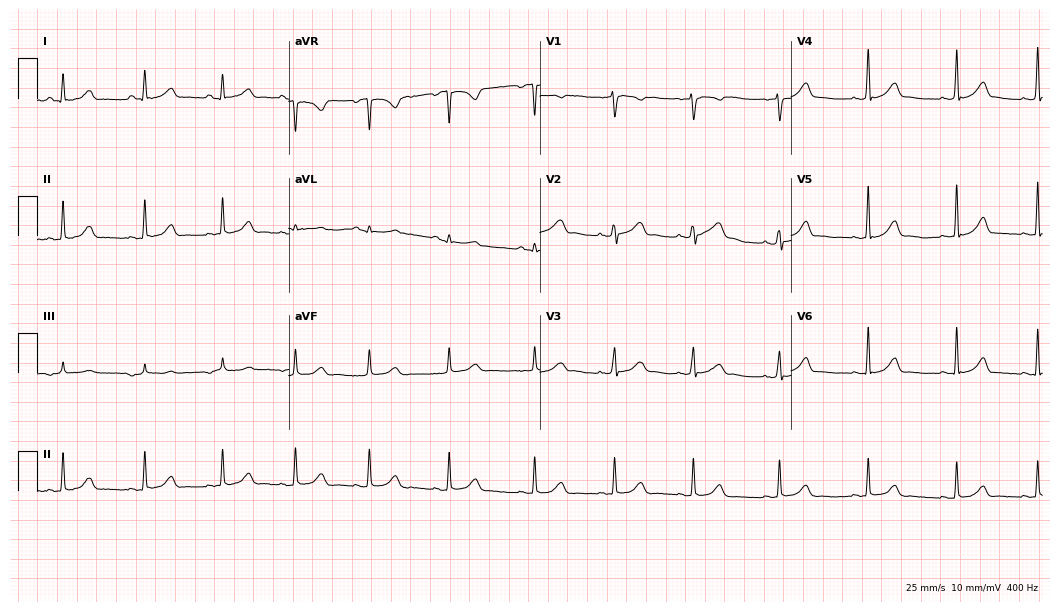
Standard 12-lead ECG recorded from a 22-year-old woman. Read as a normal ECG.